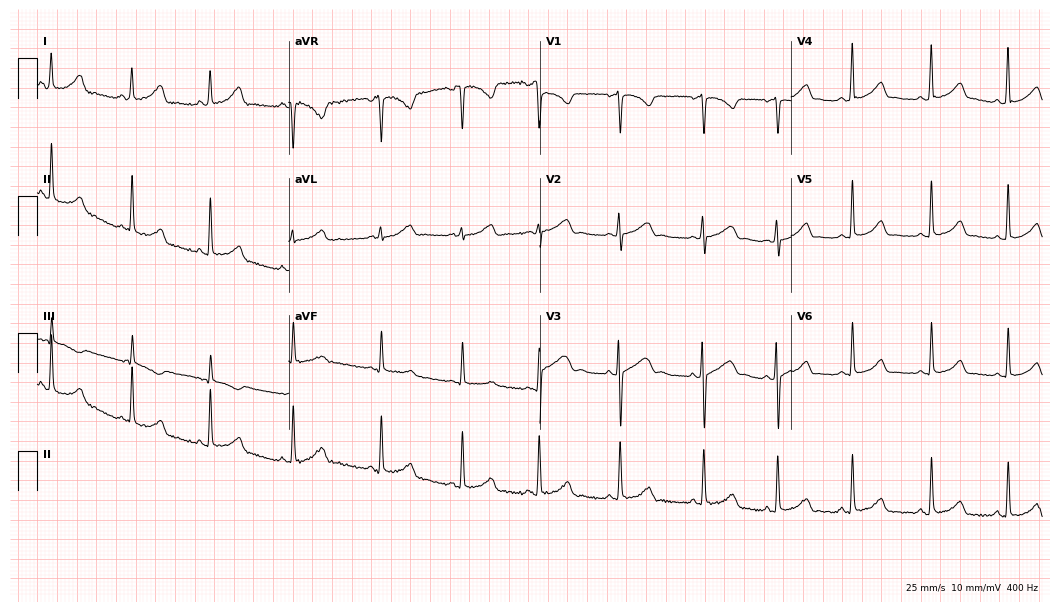
Electrocardiogram, a 17-year-old female. Overall reading on record: normal ECG.